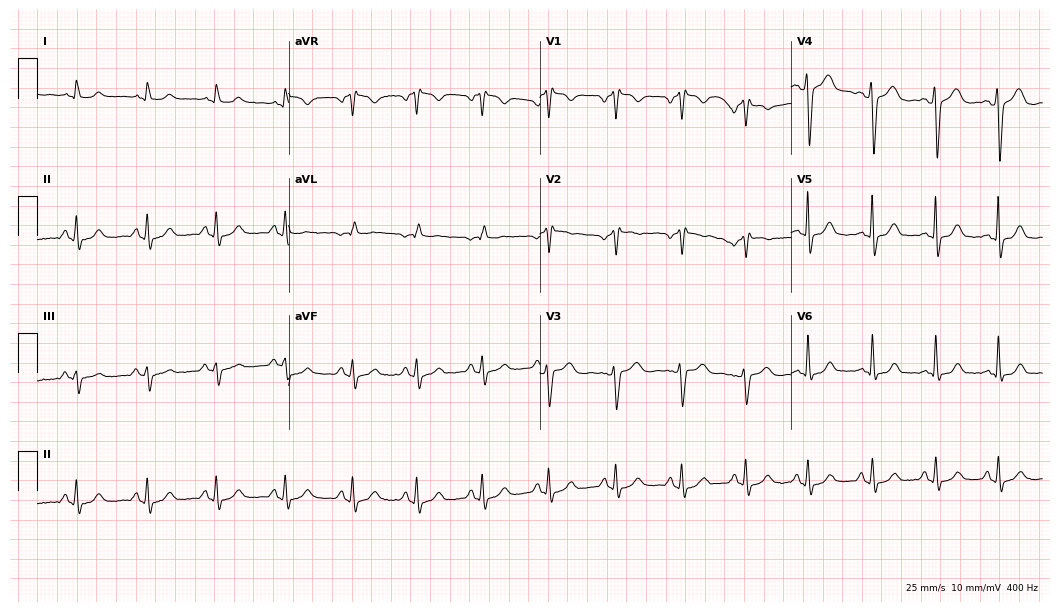
12-lead ECG from a 49-year-old woman (10.2-second recording at 400 Hz). No first-degree AV block, right bundle branch block, left bundle branch block, sinus bradycardia, atrial fibrillation or sinus tachycardia recorded for this tracing. Other findings, if any, are not listed.